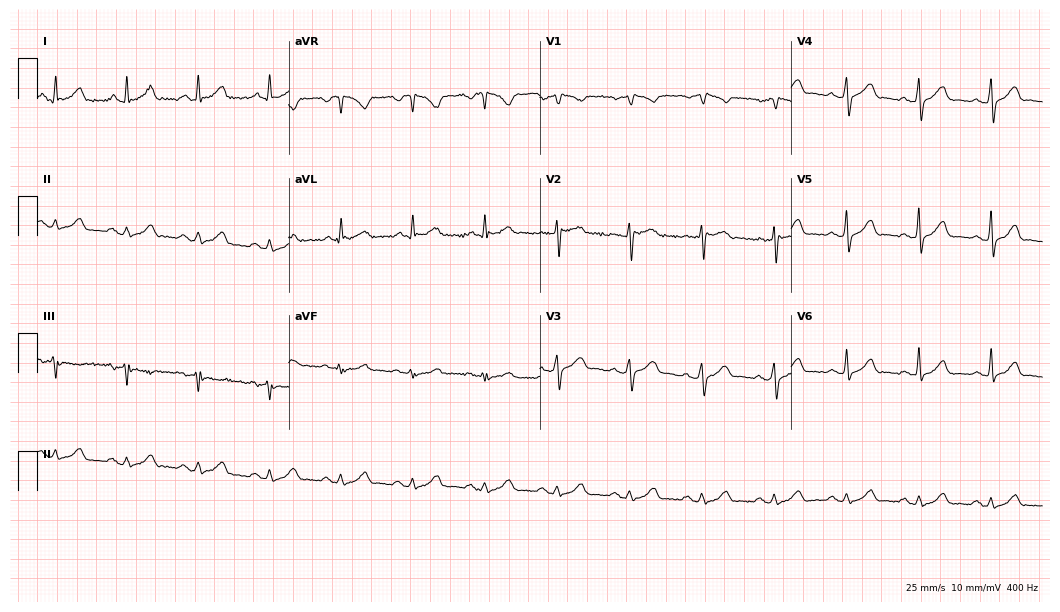
Resting 12-lead electrocardiogram. Patient: a 52-year-old male. Read as a normal ECG.